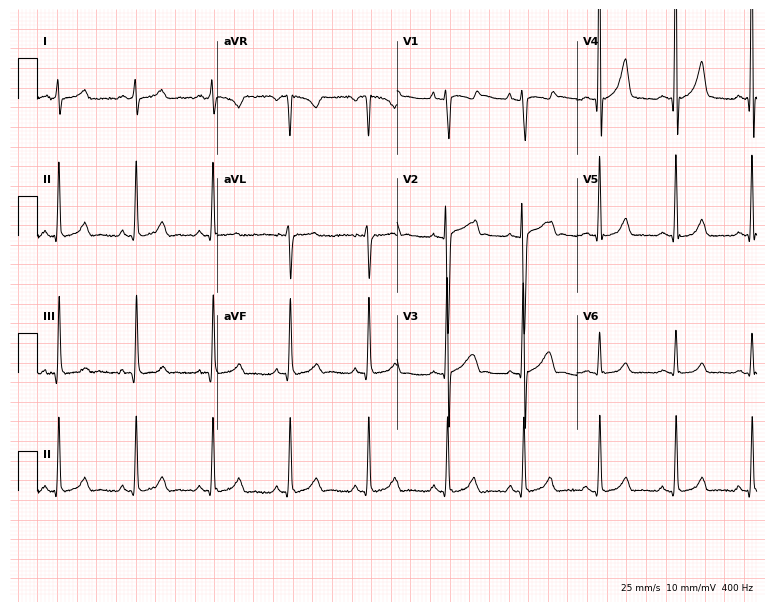
12-lead ECG from a male, 18 years old. Recorded interpretation: within normal limits.